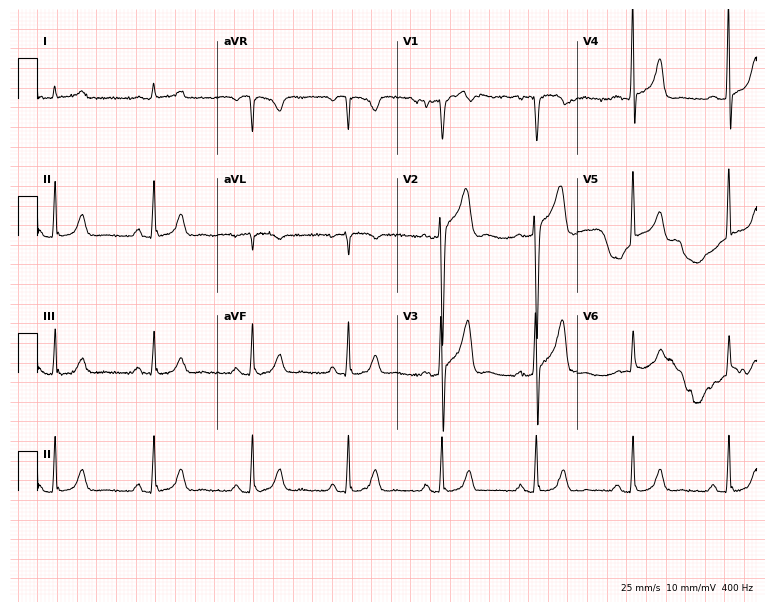
12-lead ECG from a 61-year-old male patient (7.3-second recording at 400 Hz). No first-degree AV block, right bundle branch block (RBBB), left bundle branch block (LBBB), sinus bradycardia, atrial fibrillation (AF) or sinus tachycardia recorded for this tracing.